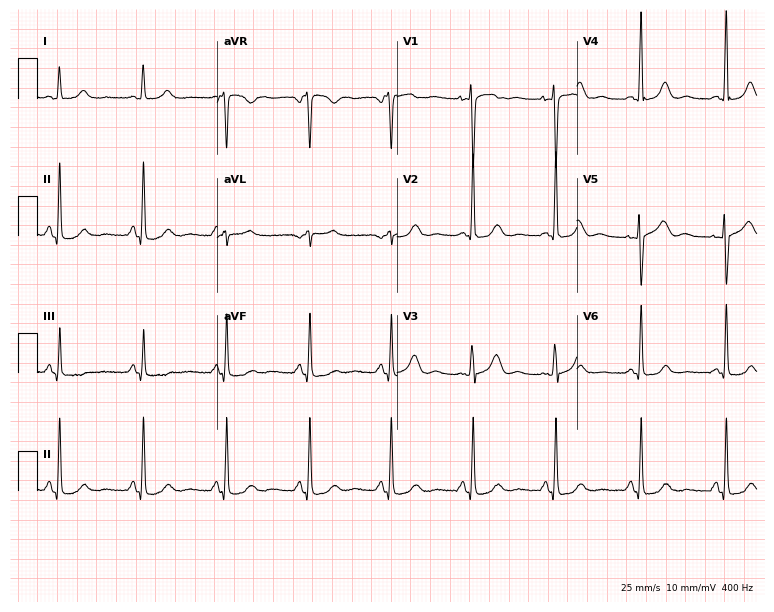
12-lead ECG (7.3-second recording at 400 Hz) from a female, 44 years old. Screened for six findings — first-degree AV block, right bundle branch block (RBBB), left bundle branch block (LBBB), sinus bradycardia, atrial fibrillation (AF), sinus tachycardia — none is recorded.